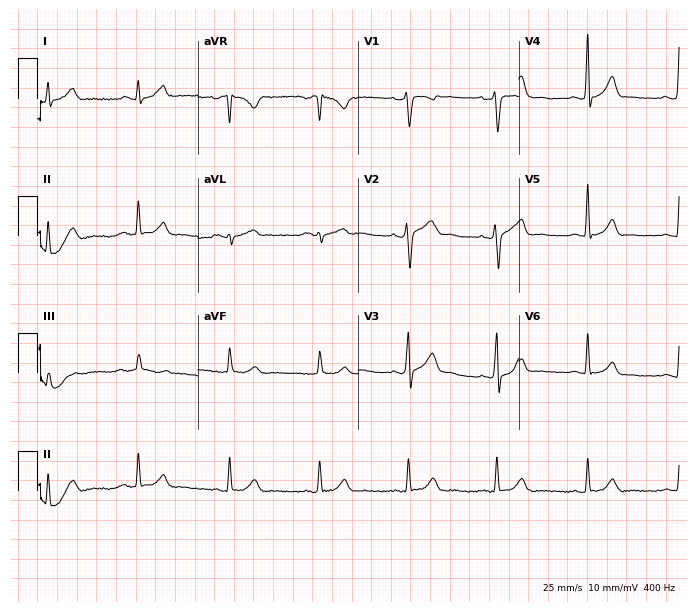
12-lead ECG from a 34-year-old male (6.5-second recording at 400 Hz). Recorded interpretation: within normal limits.